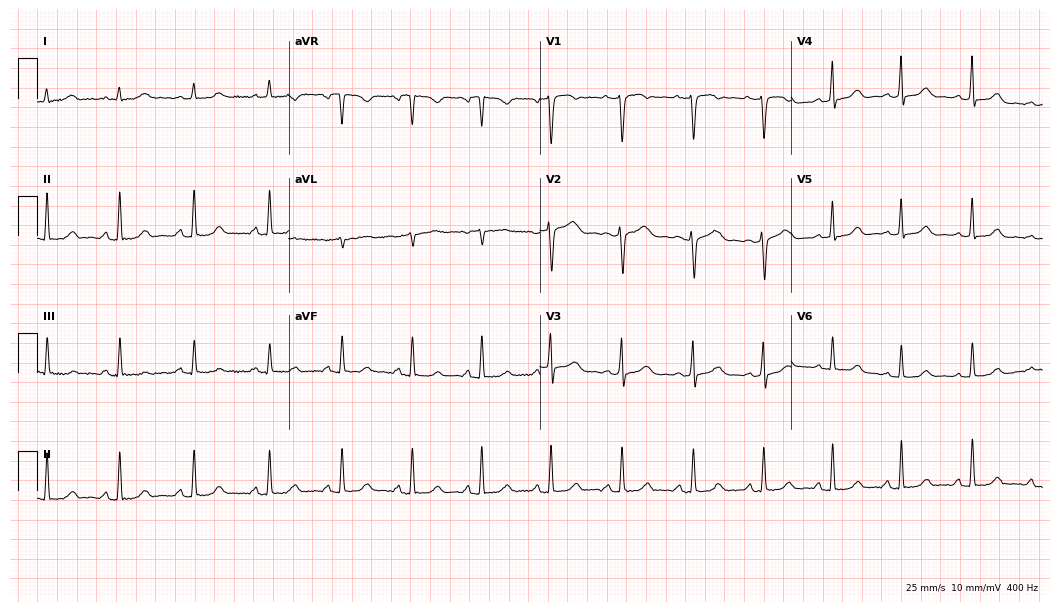
Electrocardiogram, a 49-year-old female. Overall reading on record: normal ECG.